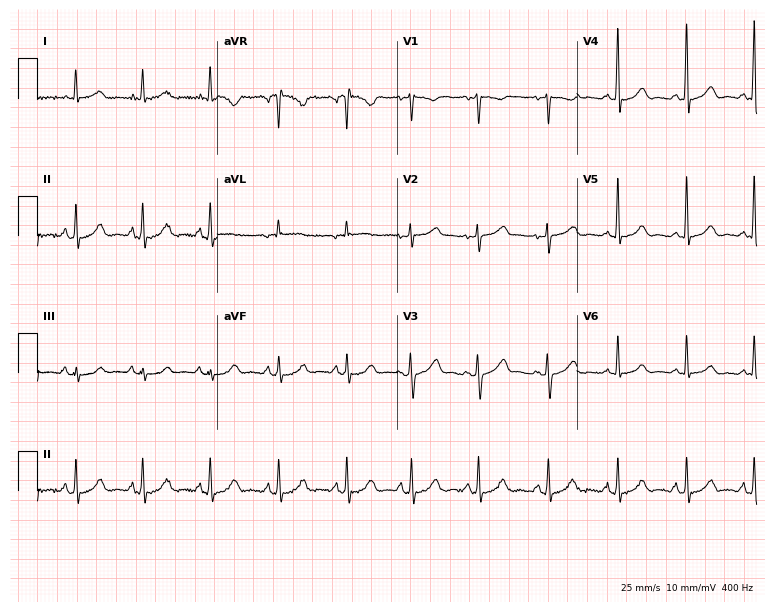
Resting 12-lead electrocardiogram. Patient: a female, 39 years old. None of these six findings is recorded: first-degree AV block, right bundle branch block, left bundle branch block, sinus bradycardia, atrial fibrillation, sinus tachycardia.